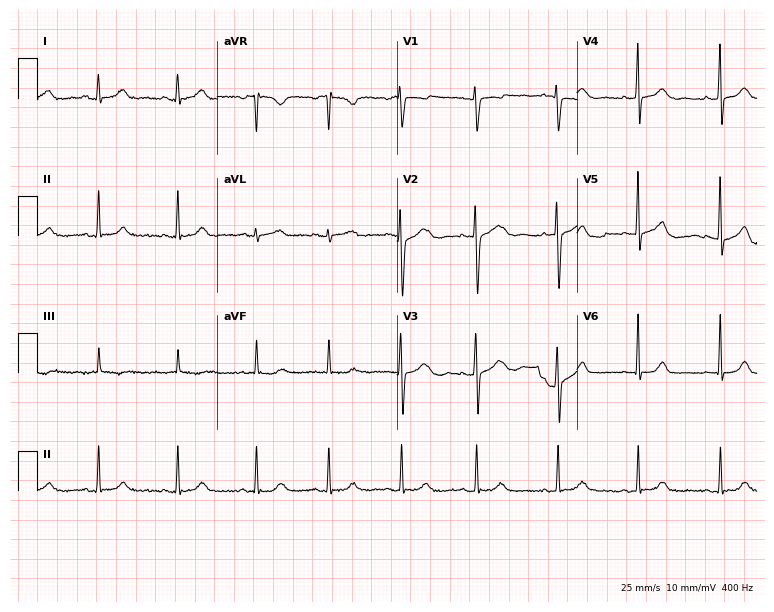
ECG (7.3-second recording at 400 Hz) — a female patient, 30 years old. Labelled as a normal ECG.